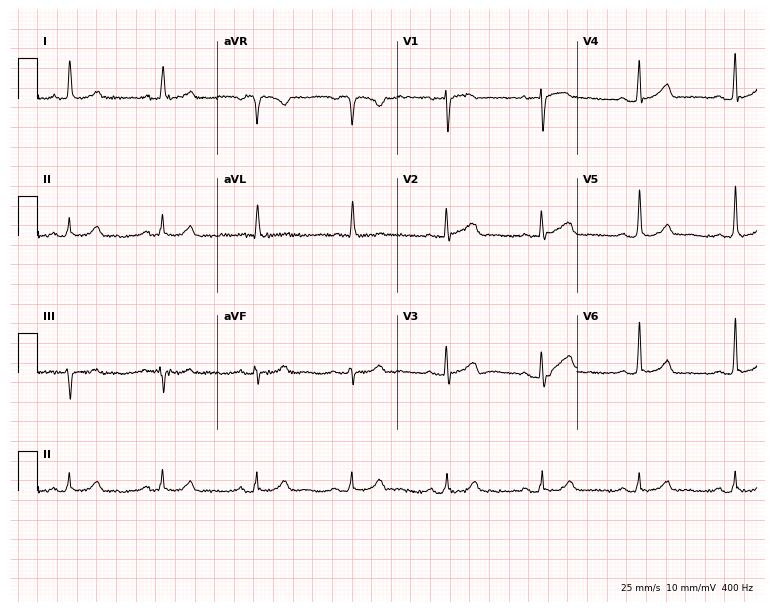
Standard 12-lead ECG recorded from a female patient, 69 years old. Read as a normal ECG.